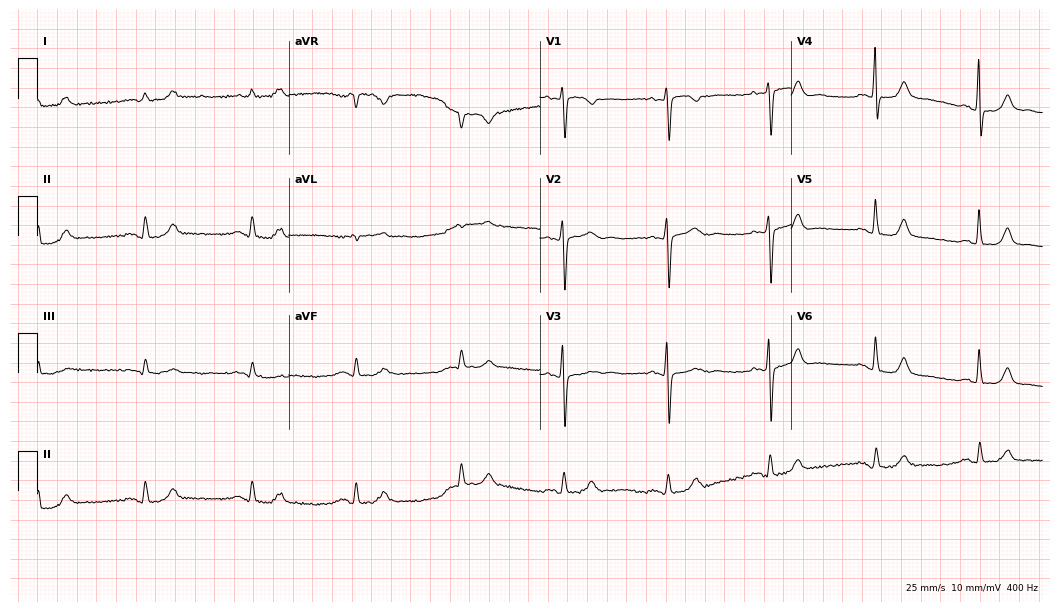
Standard 12-lead ECG recorded from a female patient, 79 years old. Read as a normal ECG.